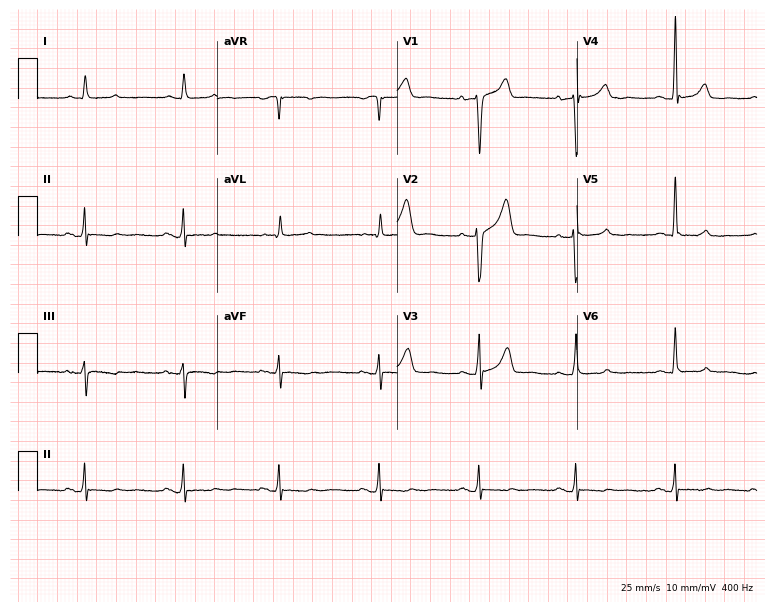
ECG — a 69-year-old man. Screened for six findings — first-degree AV block, right bundle branch block, left bundle branch block, sinus bradycardia, atrial fibrillation, sinus tachycardia — none is recorded.